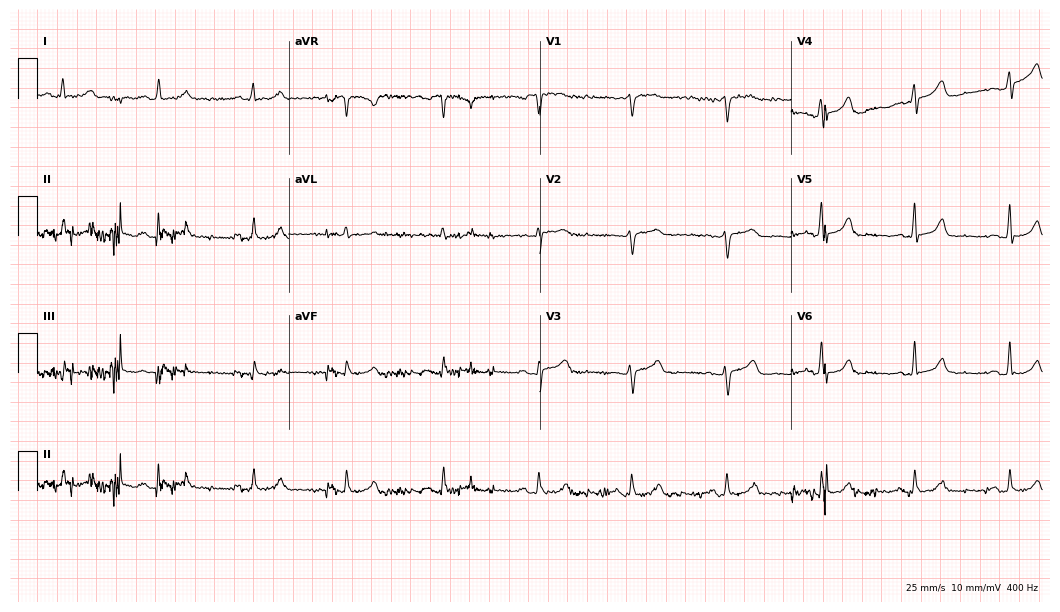
Standard 12-lead ECG recorded from a 55-year-old male (10.2-second recording at 400 Hz). Read as a normal ECG.